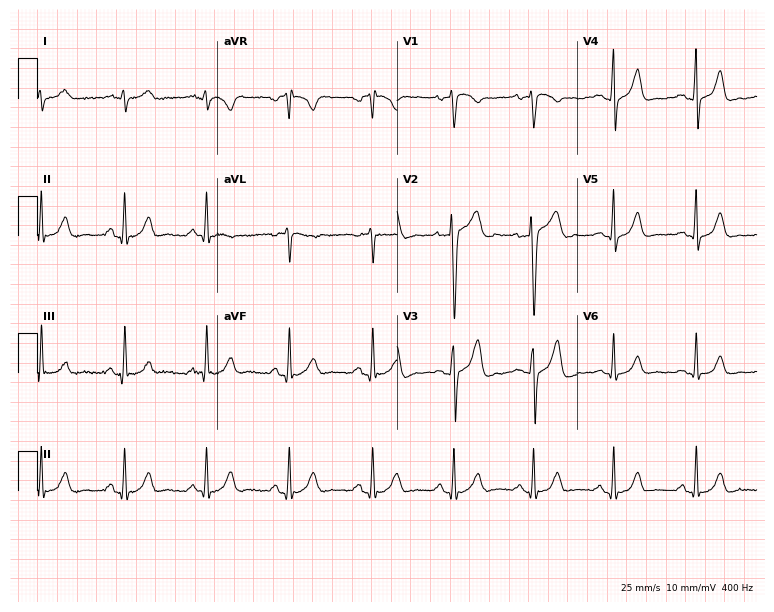
12-lead ECG (7.3-second recording at 400 Hz) from a 33-year-old male patient. Screened for six findings — first-degree AV block, right bundle branch block (RBBB), left bundle branch block (LBBB), sinus bradycardia, atrial fibrillation (AF), sinus tachycardia — none is recorded. Findings outside these six are not listed.